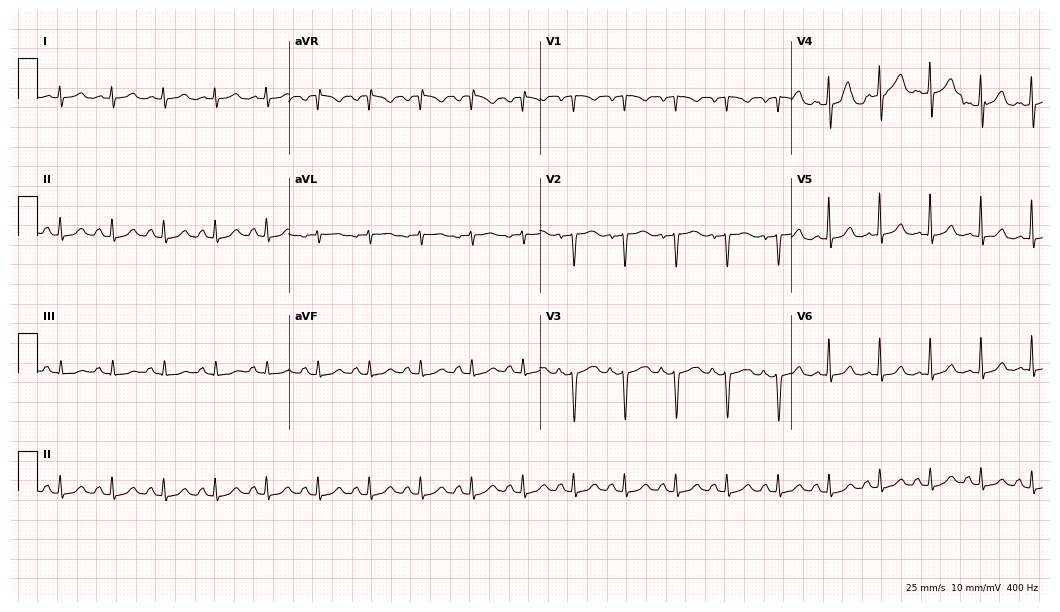
ECG (10.2-second recording at 400 Hz) — a female patient, 47 years old. Findings include sinus tachycardia (a sinus rate of 100 beats per minute or more).